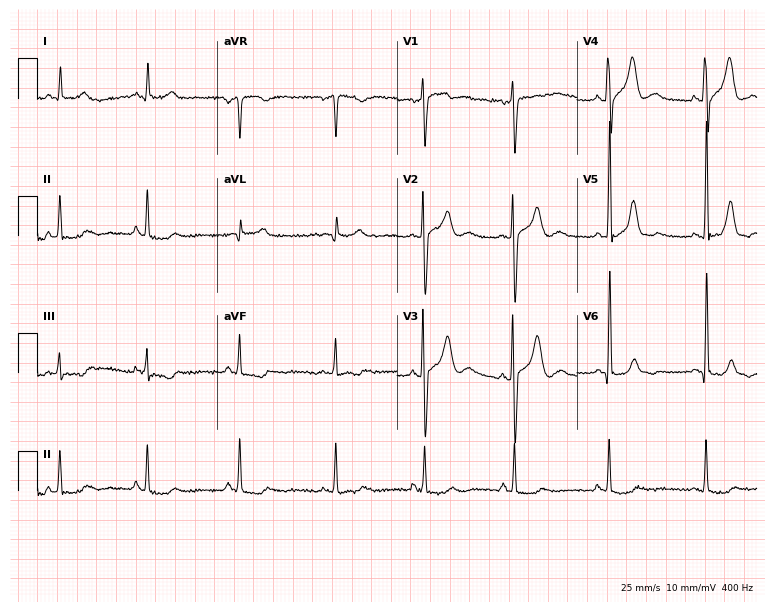
12-lead ECG (7.3-second recording at 400 Hz) from a 55-year-old female. Screened for six findings — first-degree AV block, right bundle branch block, left bundle branch block, sinus bradycardia, atrial fibrillation, sinus tachycardia — none is recorded.